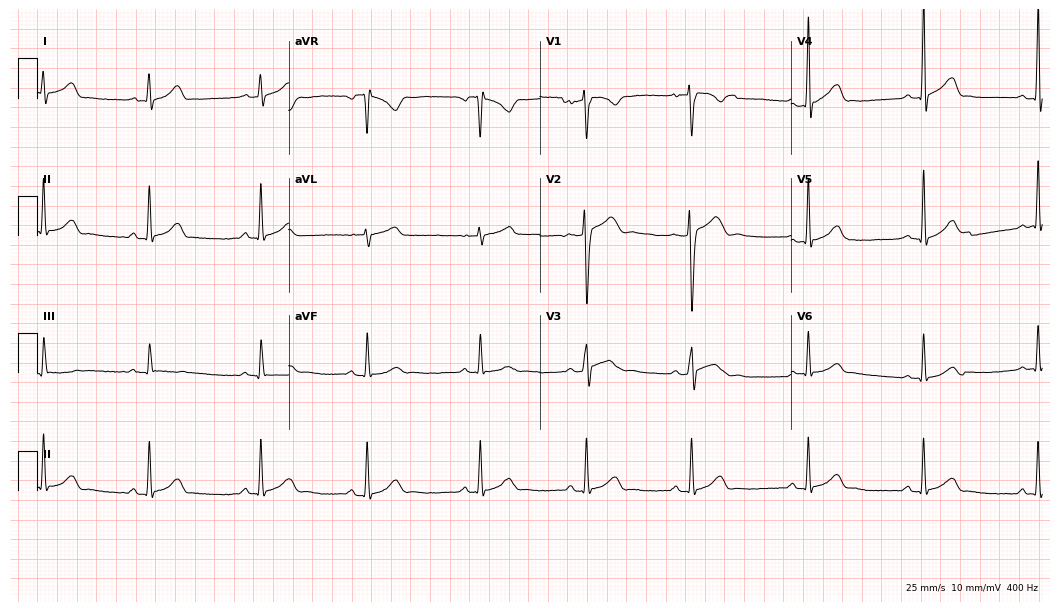
ECG — a man, 19 years old. Screened for six findings — first-degree AV block, right bundle branch block (RBBB), left bundle branch block (LBBB), sinus bradycardia, atrial fibrillation (AF), sinus tachycardia — none is recorded. Findings outside these six are not listed.